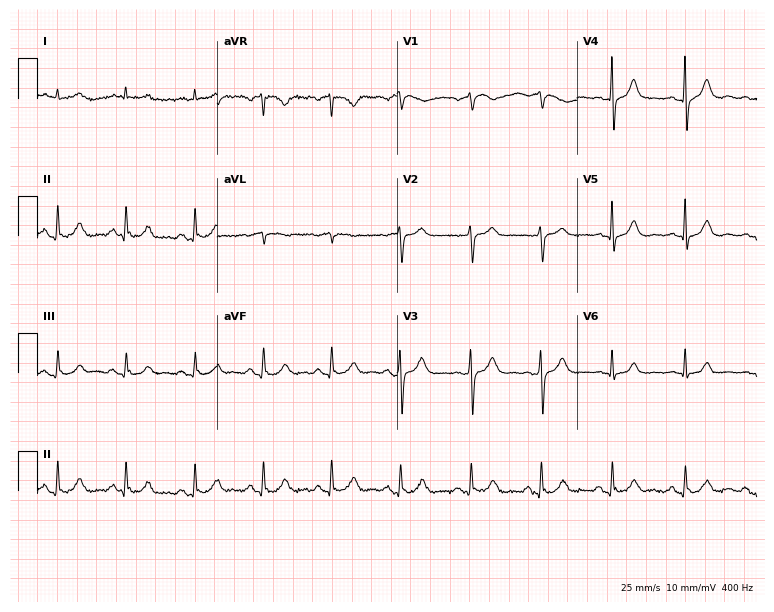
Standard 12-lead ECG recorded from a male patient, 78 years old. Read as a normal ECG.